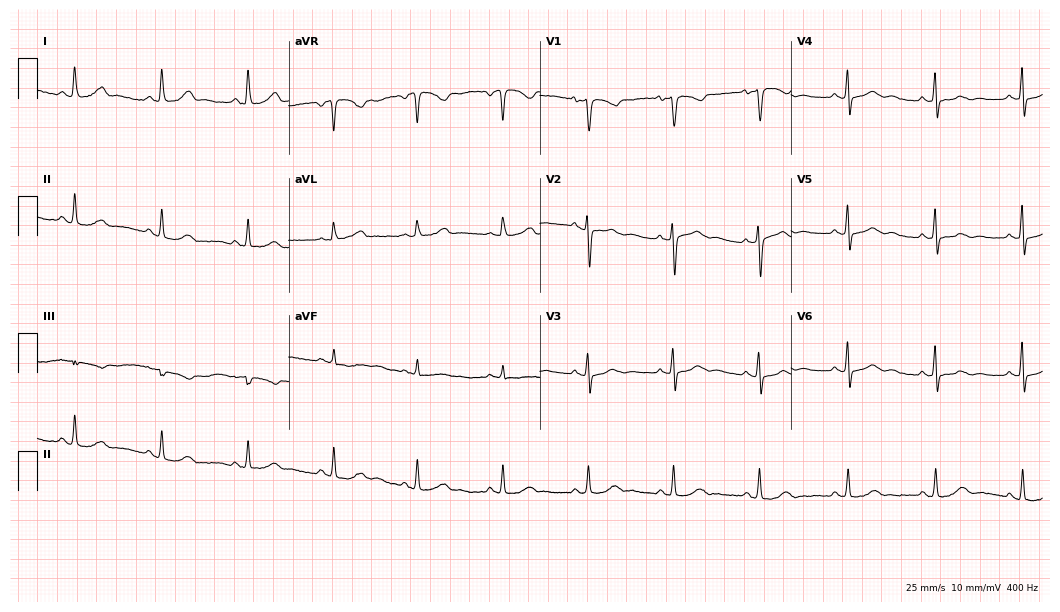
Standard 12-lead ECG recorded from a 54-year-old male. Read as a normal ECG.